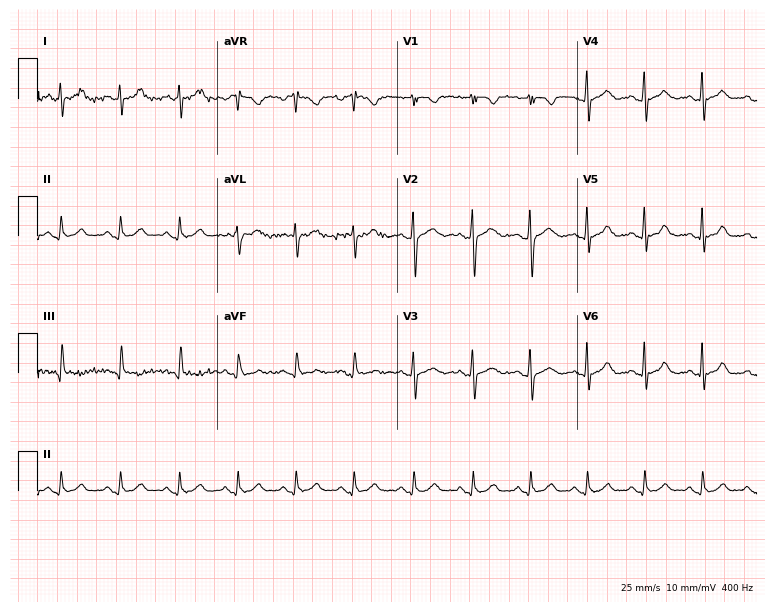
Electrocardiogram, a man, 39 years old. Overall reading on record: normal ECG.